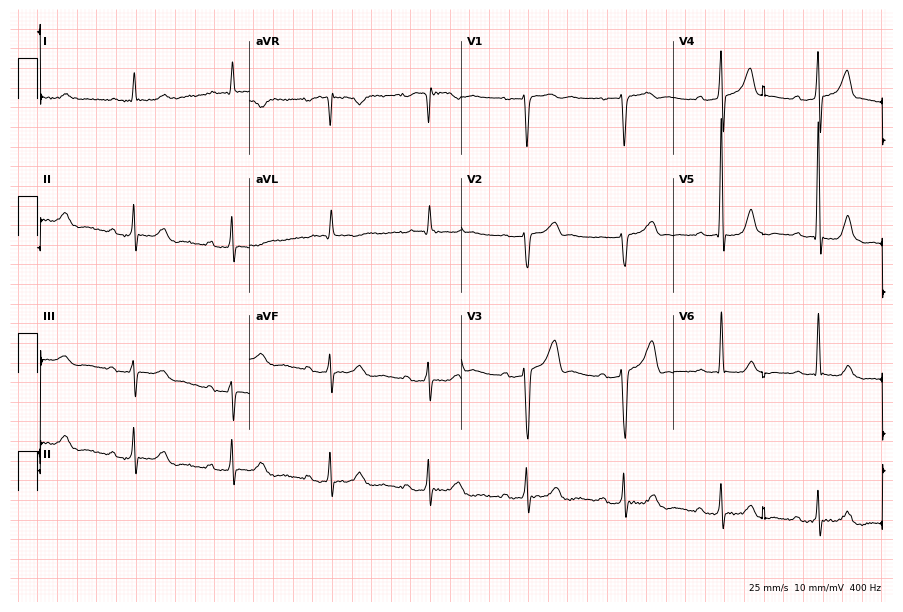
12-lead ECG (8.6-second recording at 400 Hz) from a male, 82 years old. Findings include first-degree AV block.